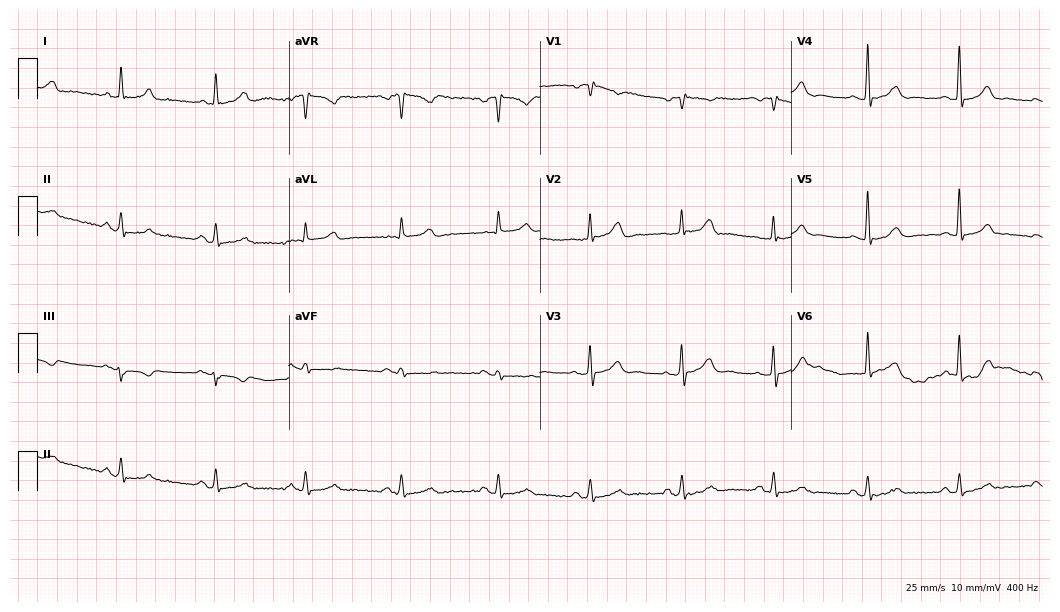
Standard 12-lead ECG recorded from a 60-year-old female patient (10.2-second recording at 400 Hz). None of these six findings is recorded: first-degree AV block, right bundle branch block, left bundle branch block, sinus bradycardia, atrial fibrillation, sinus tachycardia. Only these six findings were labelled.